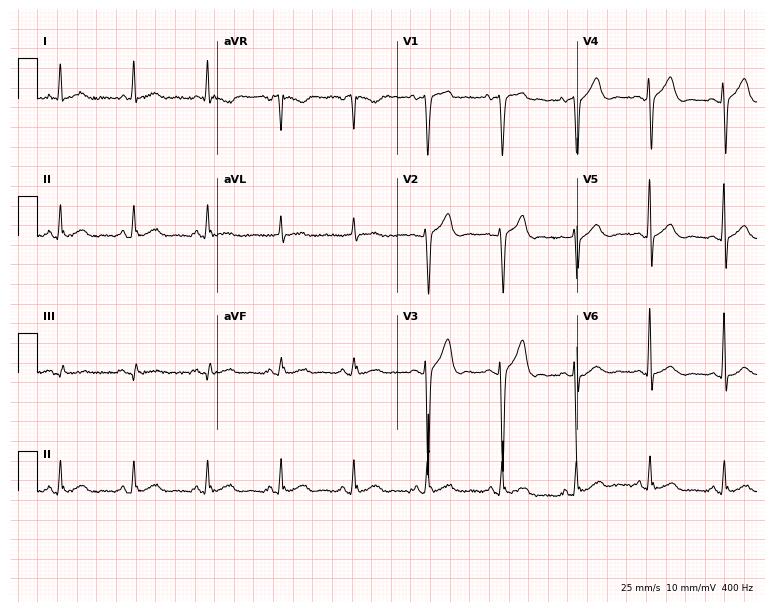
12-lead ECG from a male, 48 years old. Labelled as a normal ECG.